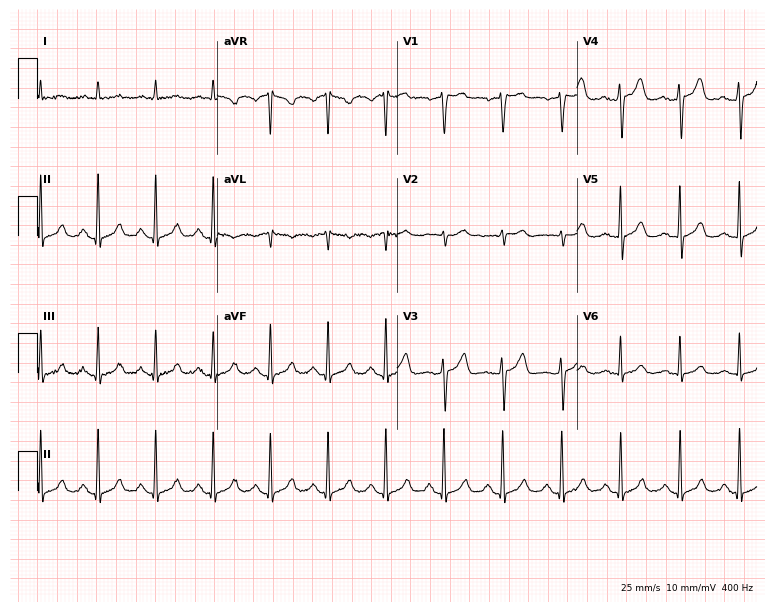
ECG — a male patient, 80 years old. Screened for six findings — first-degree AV block, right bundle branch block, left bundle branch block, sinus bradycardia, atrial fibrillation, sinus tachycardia — none is recorded. Only these six findings were labelled.